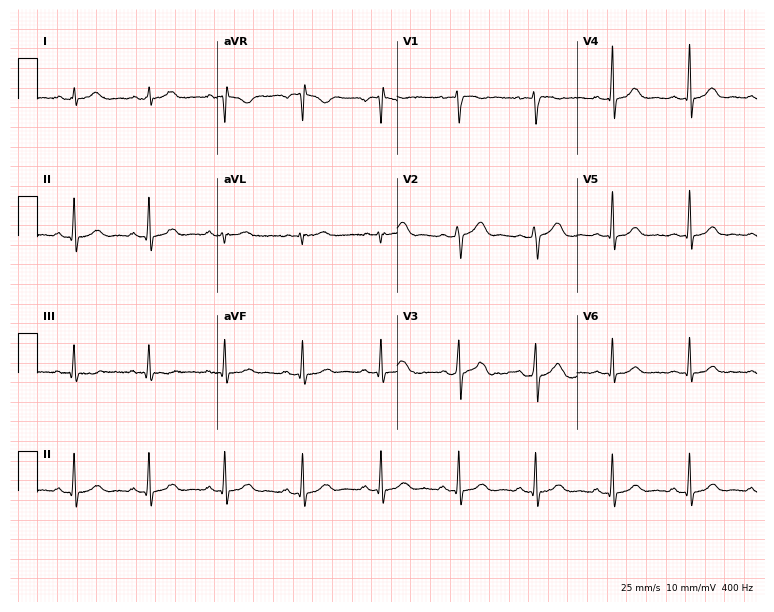
ECG — a woman, 39 years old. Labelled as a normal ECG.